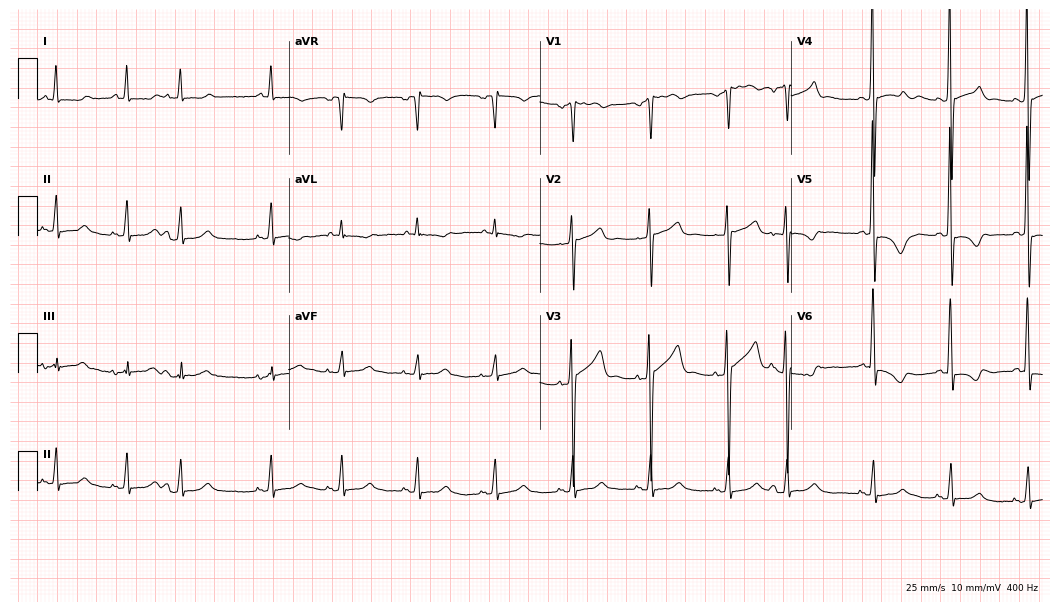
12-lead ECG from an 84-year-old female patient (10.2-second recording at 400 Hz). No first-degree AV block, right bundle branch block, left bundle branch block, sinus bradycardia, atrial fibrillation or sinus tachycardia recorded for this tracing. Other findings, if any, are not listed.